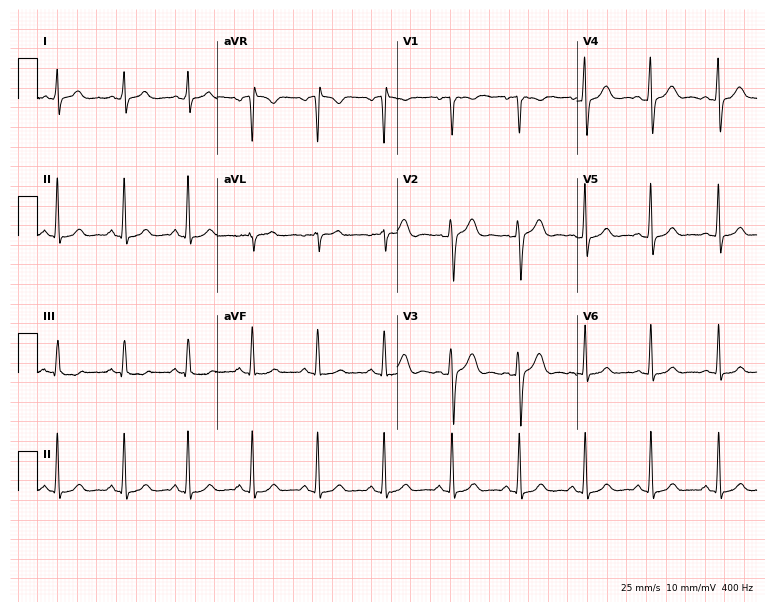
ECG — a 24-year-old female. Labelled as a normal ECG.